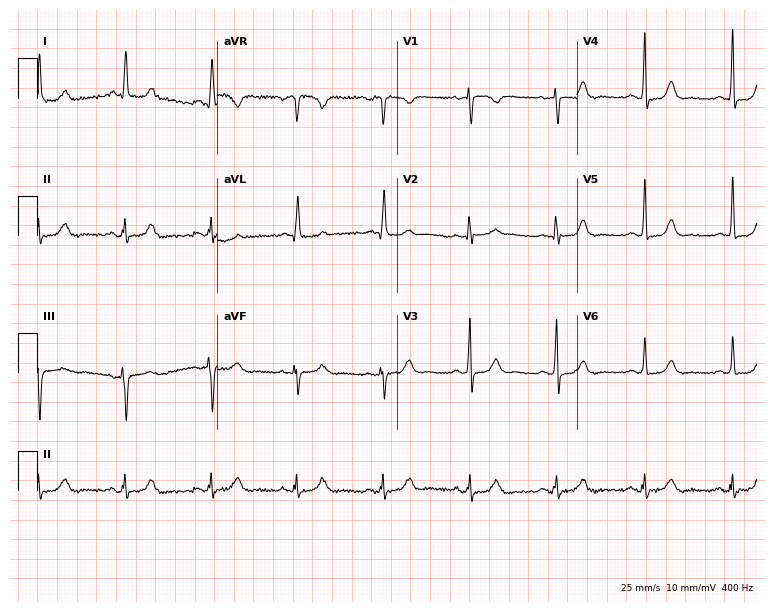
Electrocardiogram, a 64-year-old woman. Of the six screened findings (first-degree AV block, right bundle branch block, left bundle branch block, sinus bradycardia, atrial fibrillation, sinus tachycardia), none is recorded.